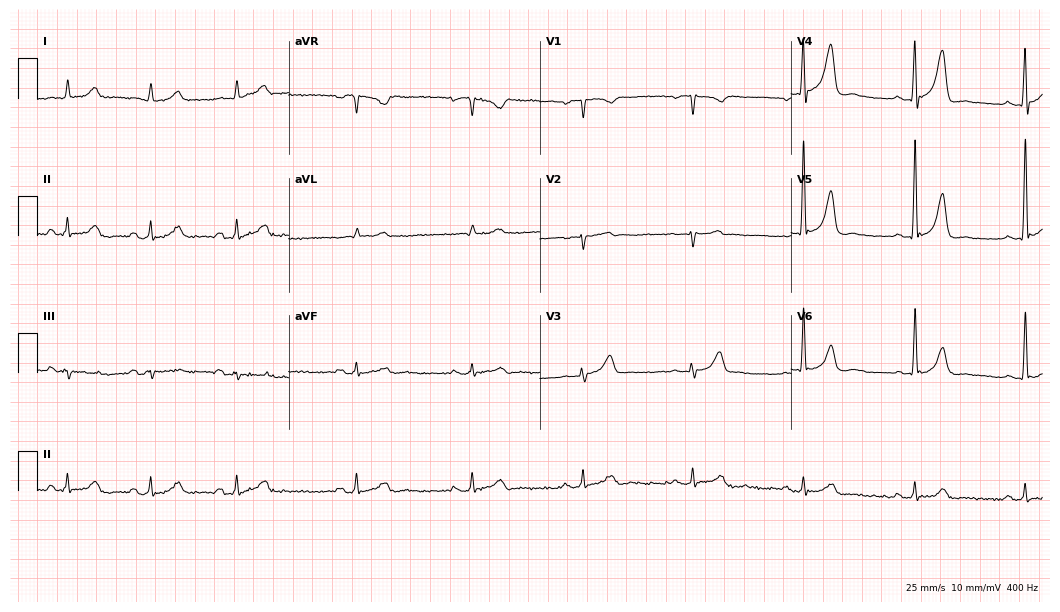
Electrocardiogram (10.2-second recording at 400 Hz), a male, 77 years old. Of the six screened findings (first-degree AV block, right bundle branch block, left bundle branch block, sinus bradycardia, atrial fibrillation, sinus tachycardia), none is recorded. Other findings, if any, are not listed.